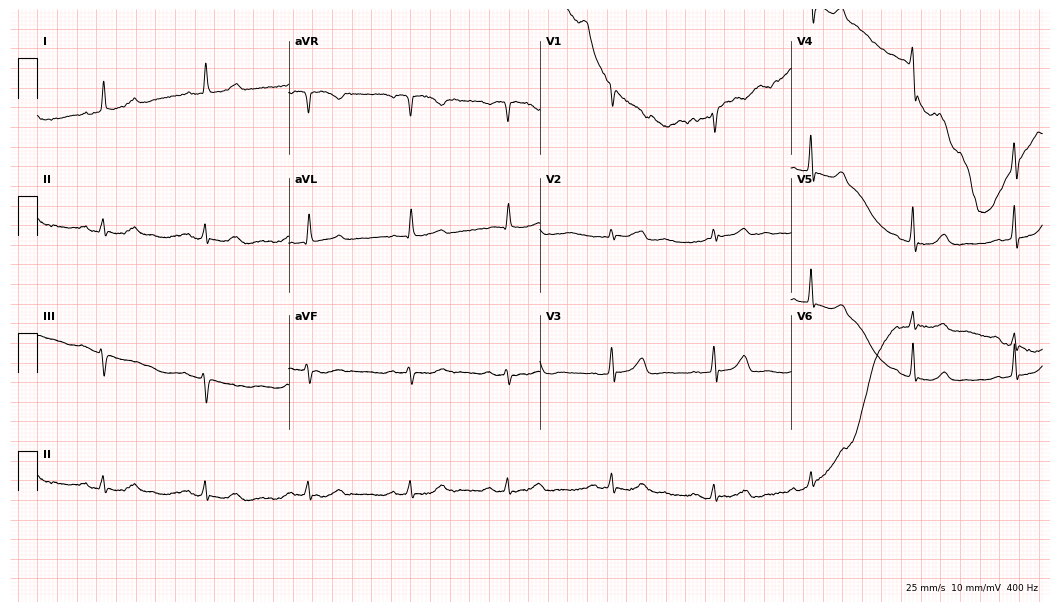
Standard 12-lead ECG recorded from a female, 78 years old (10.2-second recording at 400 Hz). None of these six findings is recorded: first-degree AV block, right bundle branch block, left bundle branch block, sinus bradycardia, atrial fibrillation, sinus tachycardia. Only these six findings were labelled.